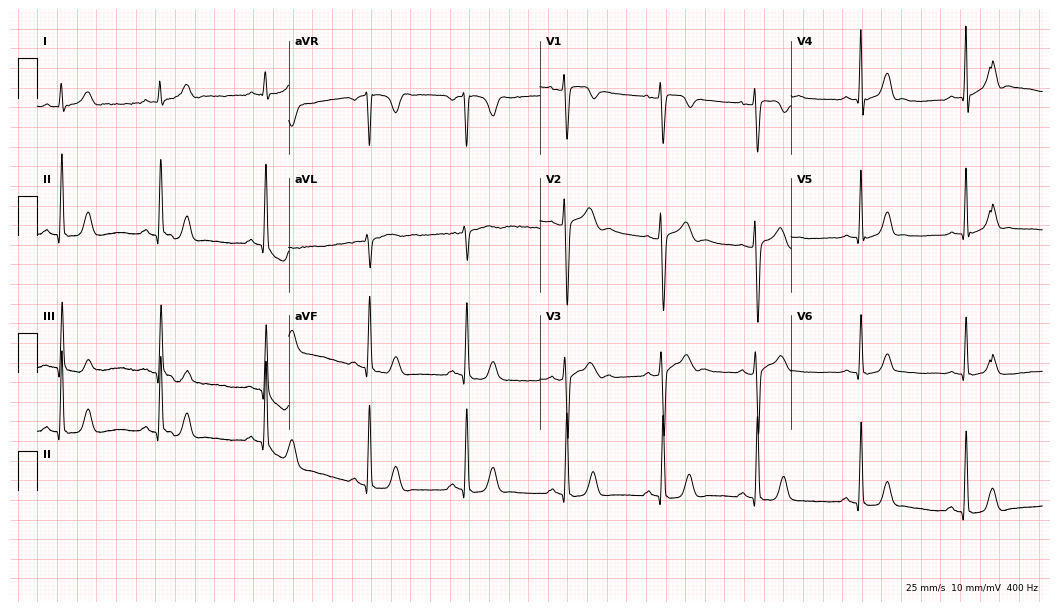
Standard 12-lead ECG recorded from a man, 18 years old (10.2-second recording at 400 Hz). Read as a normal ECG.